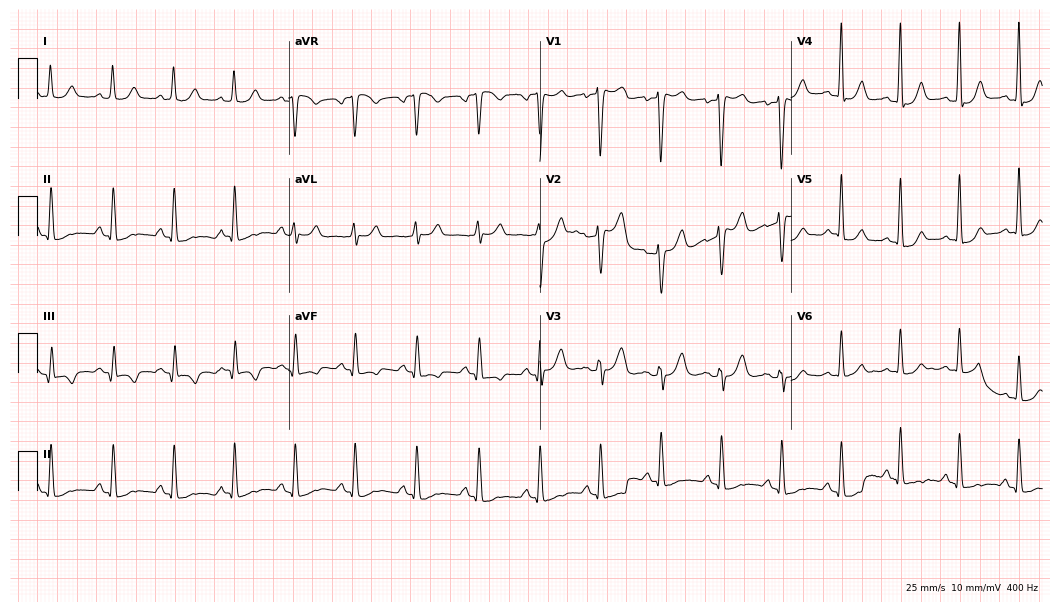
Resting 12-lead electrocardiogram (10.2-second recording at 400 Hz). Patient: a female, 49 years old. None of these six findings is recorded: first-degree AV block, right bundle branch block, left bundle branch block, sinus bradycardia, atrial fibrillation, sinus tachycardia.